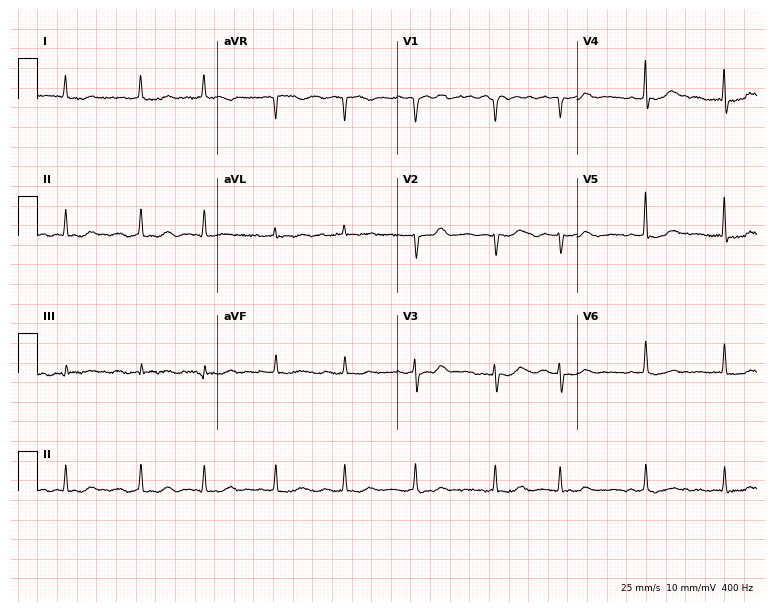
Electrocardiogram (7.3-second recording at 400 Hz), an 85-year-old female patient. Of the six screened findings (first-degree AV block, right bundle branch block, left bundle branch block, sinus bradycardia, atrial fibrillation, sinus tachycardia), none is recorded. Only these six findings were labelled.